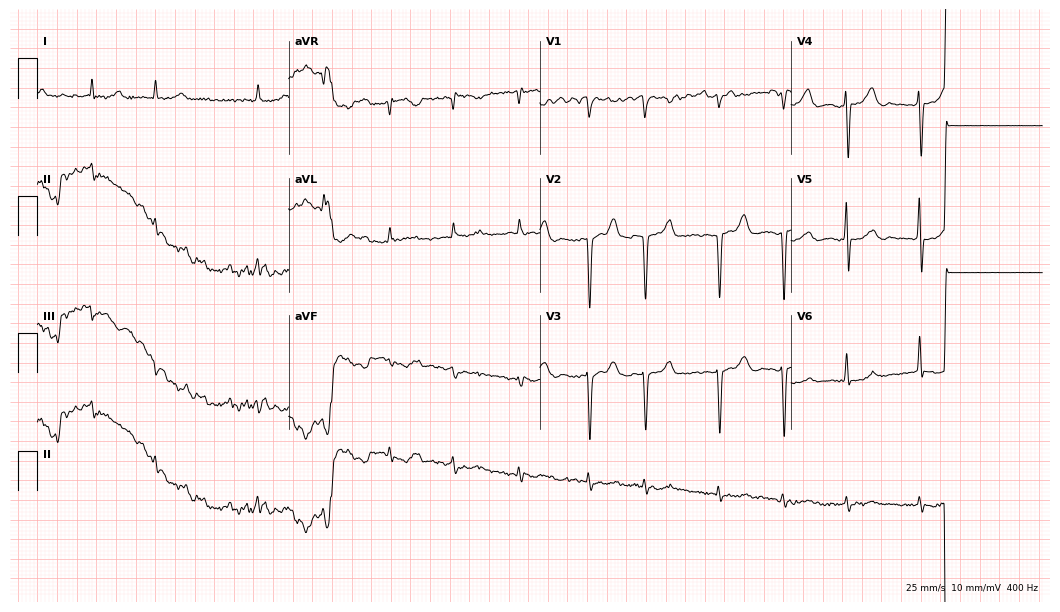
ECG (10.2-second recording at 400 Hz) — an 81-year-old man. Findings include atrial fibrillation.